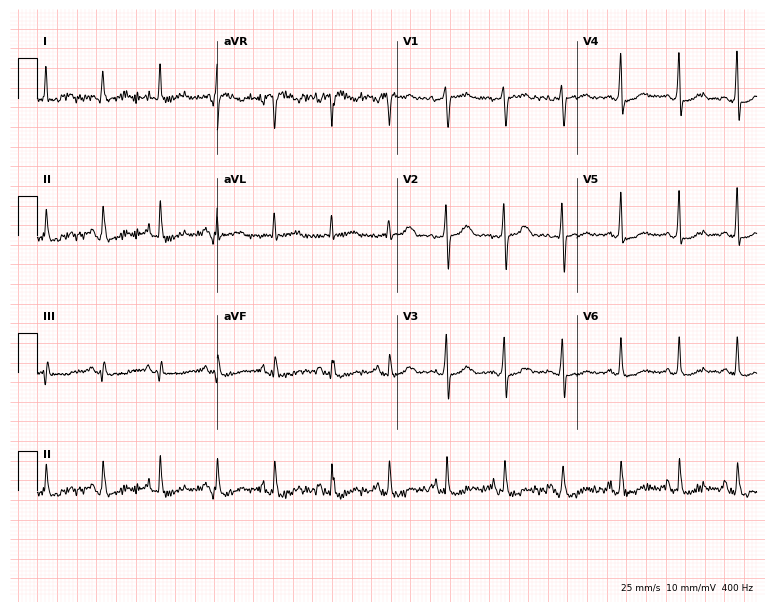
12-lead ECG from a 47-year-old woman (7.3-second recording at 400 Hz). Shows sinus tachycardia (a sinus rate of 100 beats per minute or more).